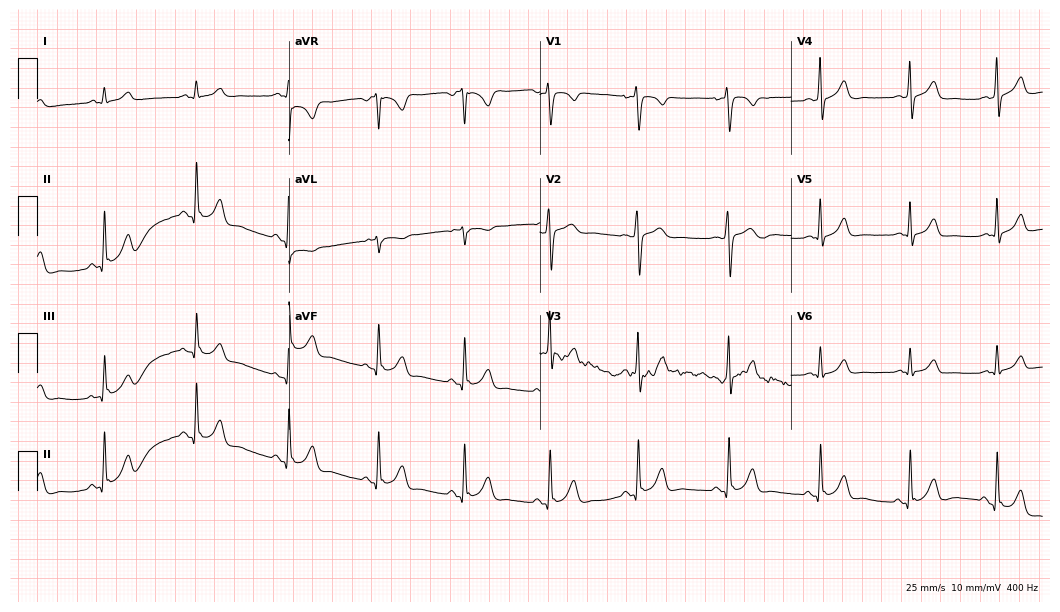
12-lead ECG (10.2-second recording at 400 Hz) from a 29-year-old male. Labelled as a normal ECG.